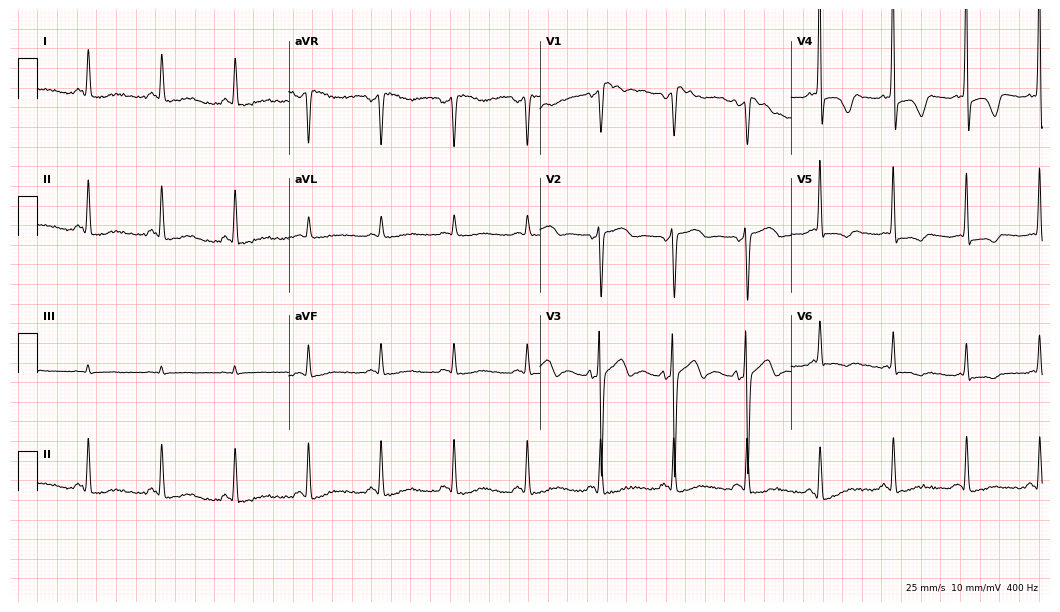
Resting 12-lead electrocardiogram (10.2-second recording at 400 Hz). Patient: an 86-year-old woman. None of these six findings is recorded: first-degree AV block, right bundle branch block, left bundle branch block, sinus bradycardia, atrial fibrillation, sinus tachycardia. Findings outside these six are not listed.